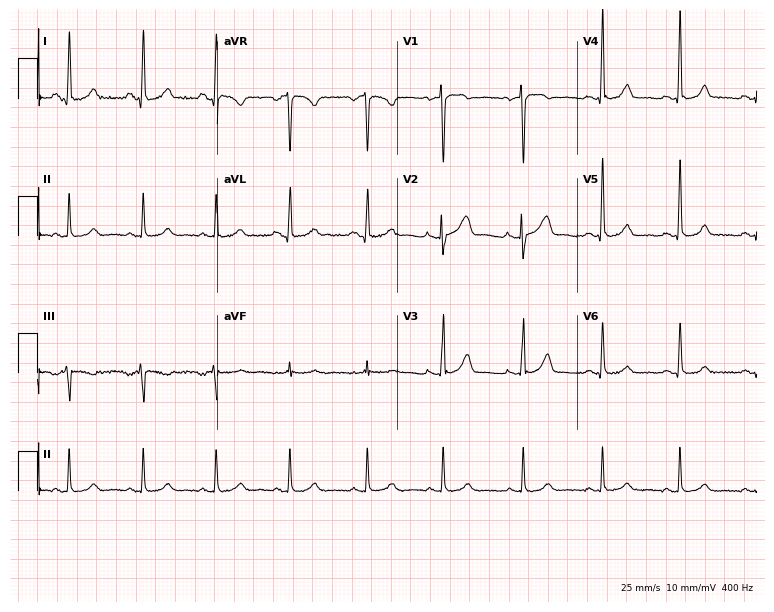
12-lead ECG from a 37-year-old woman. Labelled as a normal ECG.